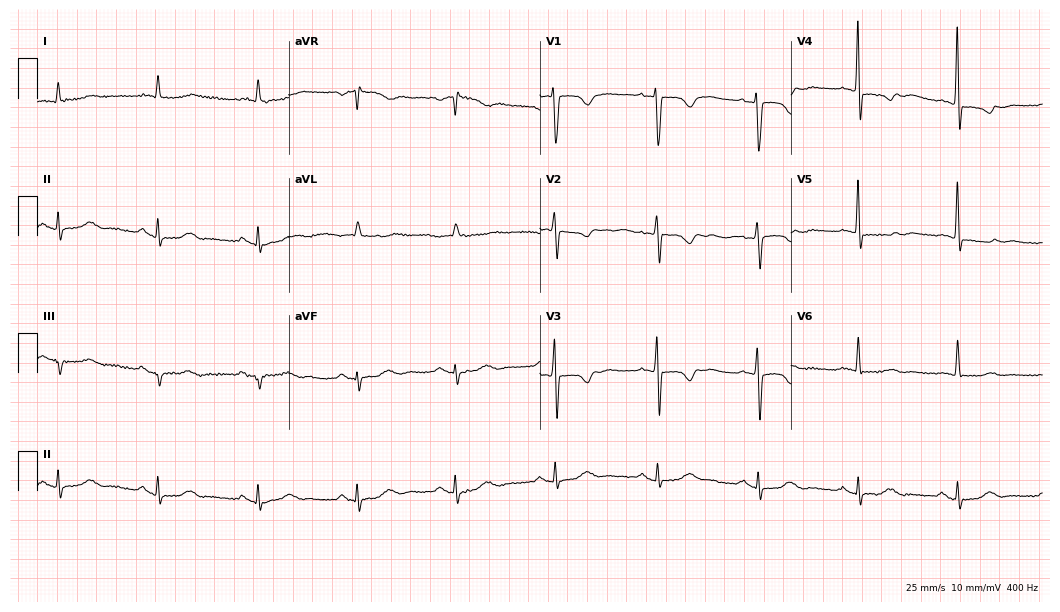
ECG — a 77-year-old female patient. Screened for six findings — first-degree AV block, right bundle branch block (RBBB), left bundle branch block (LBBB), sinus bradycardia, atrial fibrillation (AF), sinus tachycardia — none is recorded. Other findings, if any, are not listed.